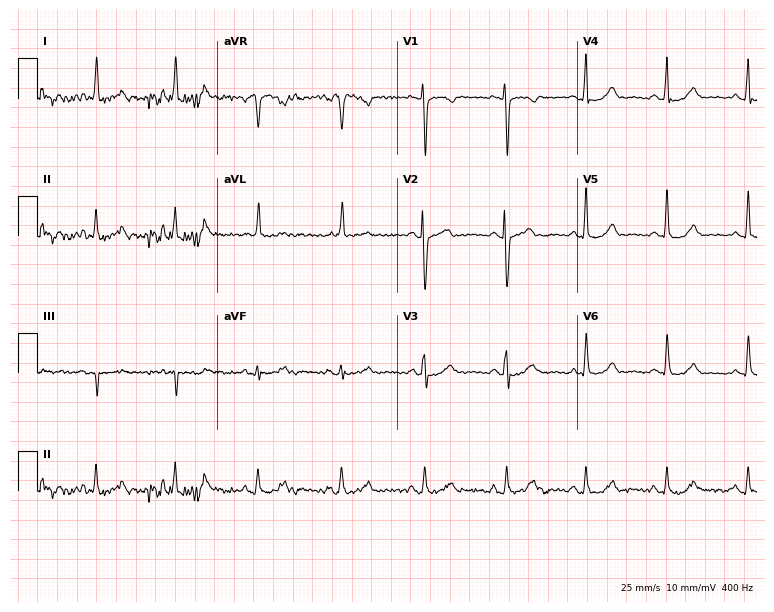
12-lead ECG from a woman, 54 years old (7.3-second recording at 400 Hz). No first-degree AV block, right bundle branch block, left bundle branch block, sinus bradycardia, atrial fibrillation or sinus tachycardia recorded for this tracing.